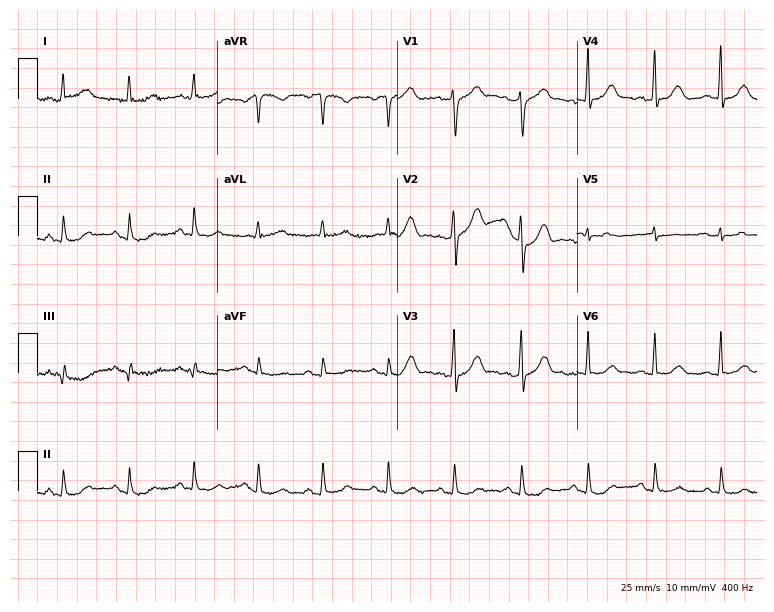
Electrocardiogram, a 55-year-old man. Overall reading on record: normal ECG.